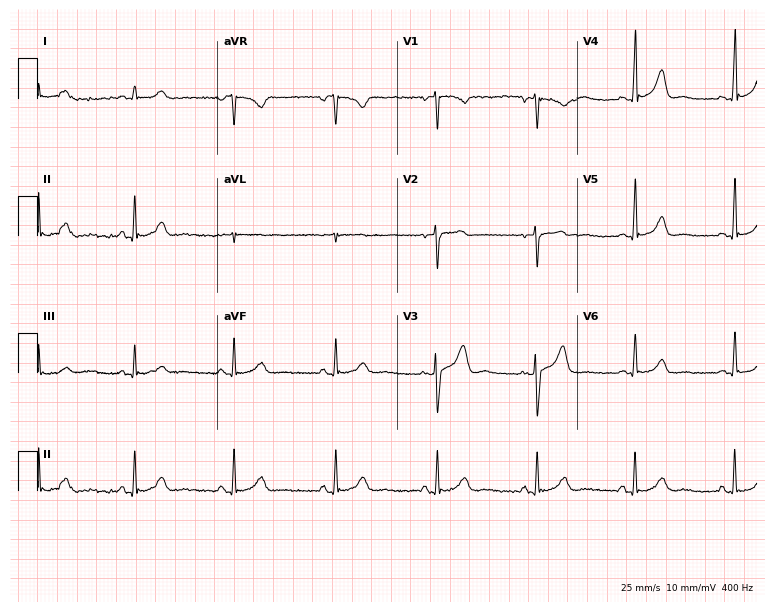
Resting 12-lead electrocardiogram. Patient: a 34-year-old woman. Read as a normal ECG.